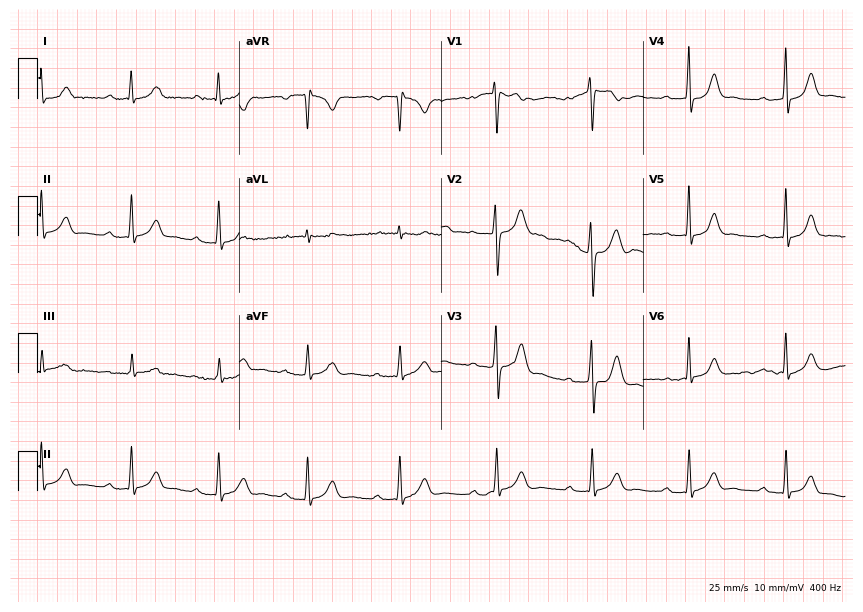
12-lead ECG from a woman, 30 years old. Shows first-degree AV block.